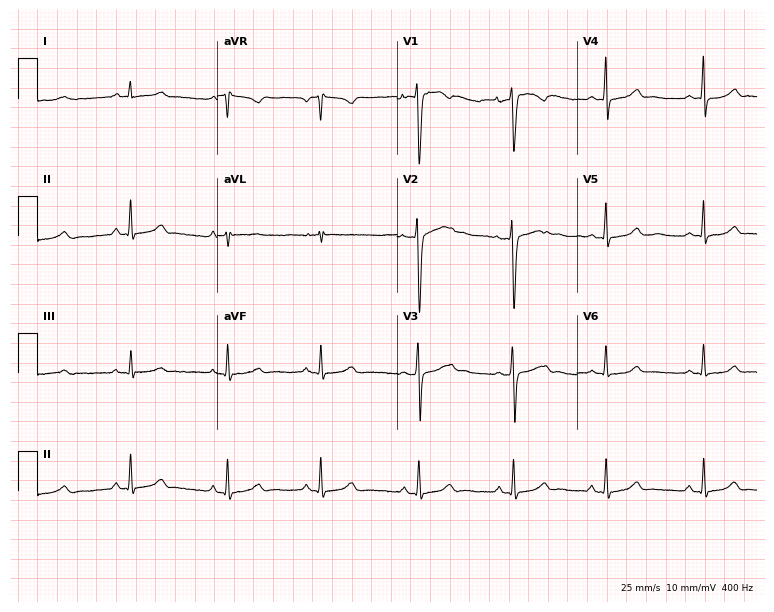
Standard 12-lead ECG recorded from a woman, 26 years old. None of these six findings is recorded: first-degree AV block, right bundle branch block, left bundle branch block, sinus bradycardia, atrial fibrillation, sinus tachycardia. Findings outside these six are not listed.